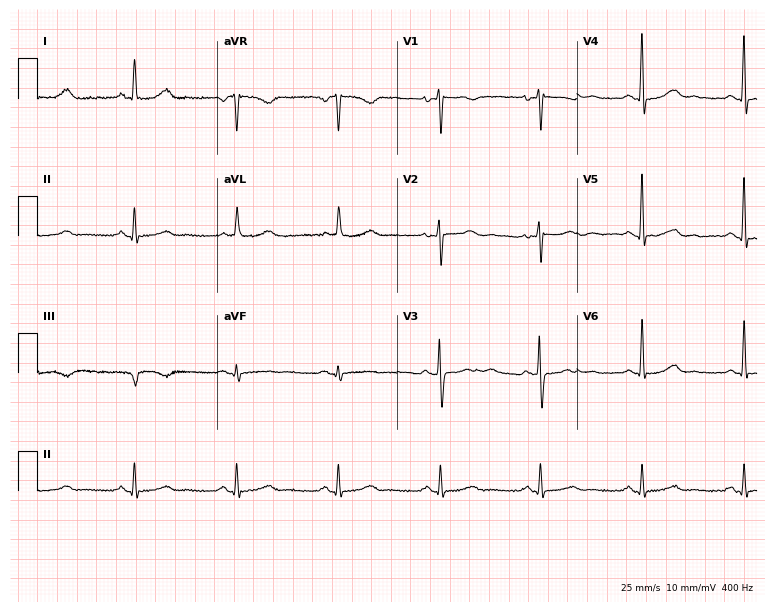
12-lead ECG from a woman, 63 years old. Screened for six findings — first-degree AV block, right bundle branch block, left bundle branch block, sinus bradycardia, atrial fibrillation, sinus tachycardia — none is recorded.